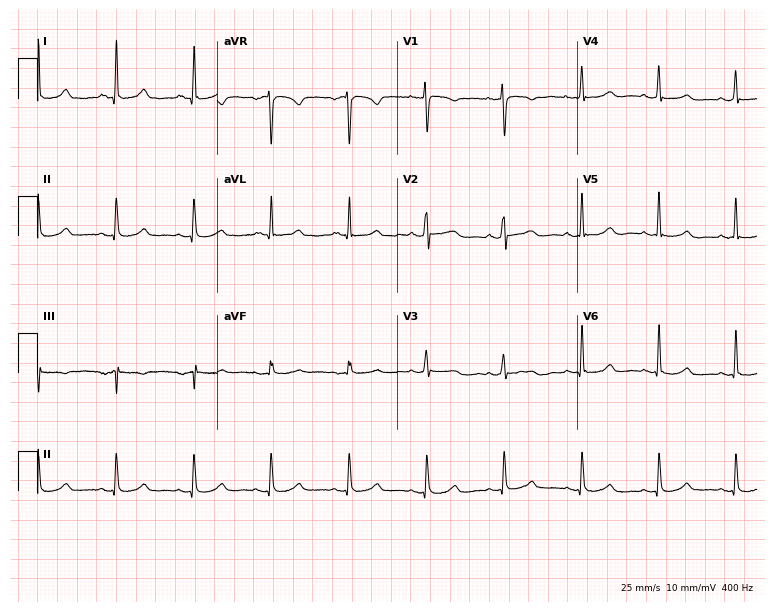
Electrocardiogram, a 45-year-old female patient. Overall reading on record: normal ECG.